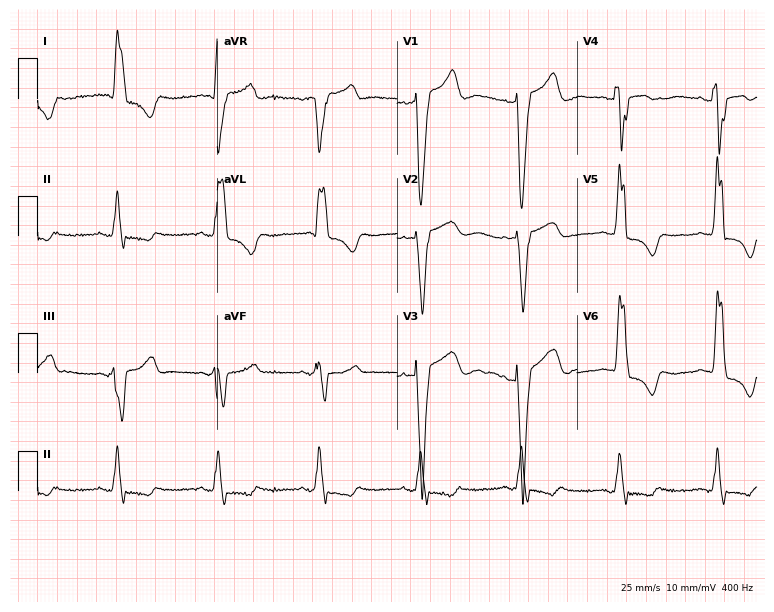
Electrocardiogram (7.3-second recording at 400 Hz), an 82-year-old female. Interpretation includes left bundle branch block.